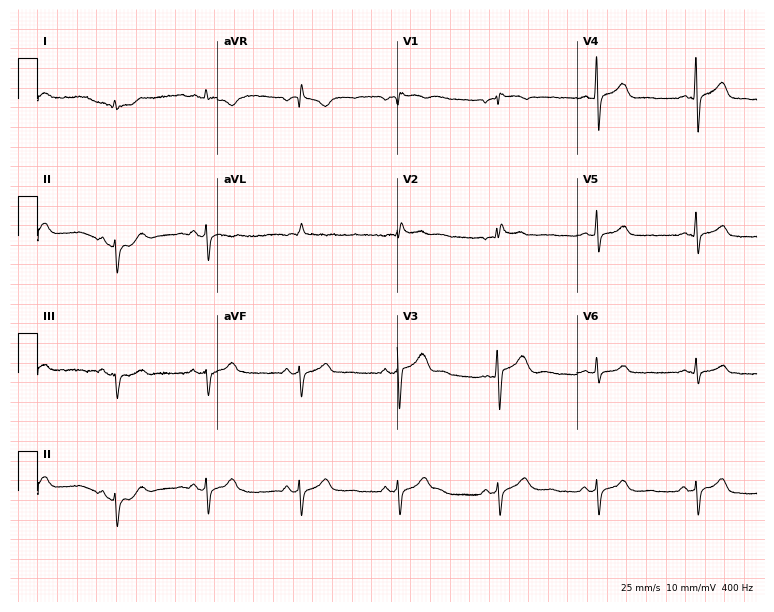
Electrocardiogram (7.3-second recording at 400 Hz), a male, 37 years old. Of the six screened findings (first-degree AV block, right bundle branch block, left bundle branch block, sinus bradycardia, atrial fibrillation, sinus tachycardia), none is recorded. Findings outside these six are not listed.